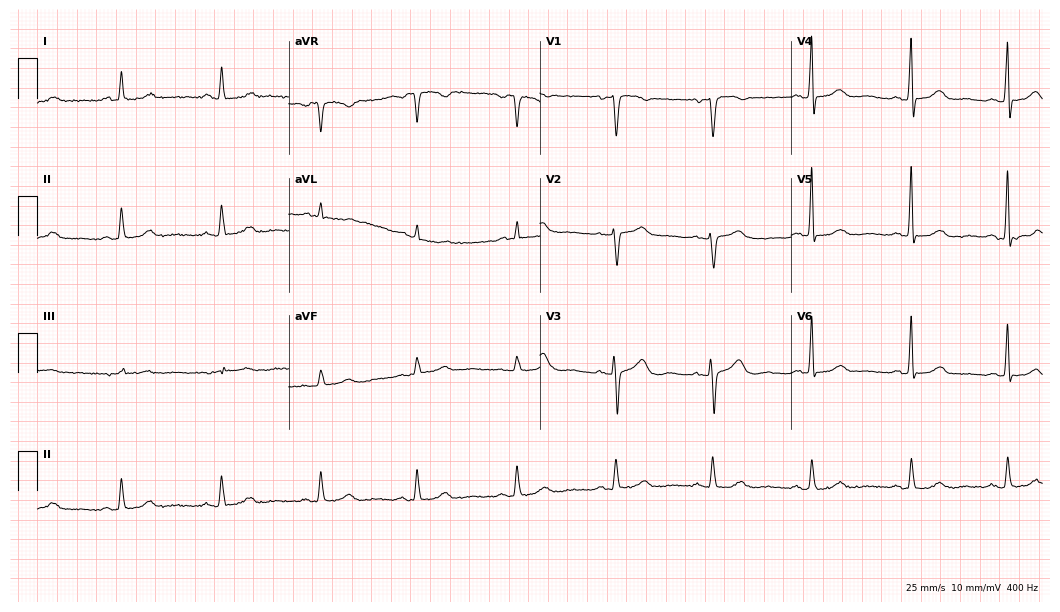
Resting 12-lead electrocardiogram. Patient: a 57-year-old female. Read as a normal ECG.